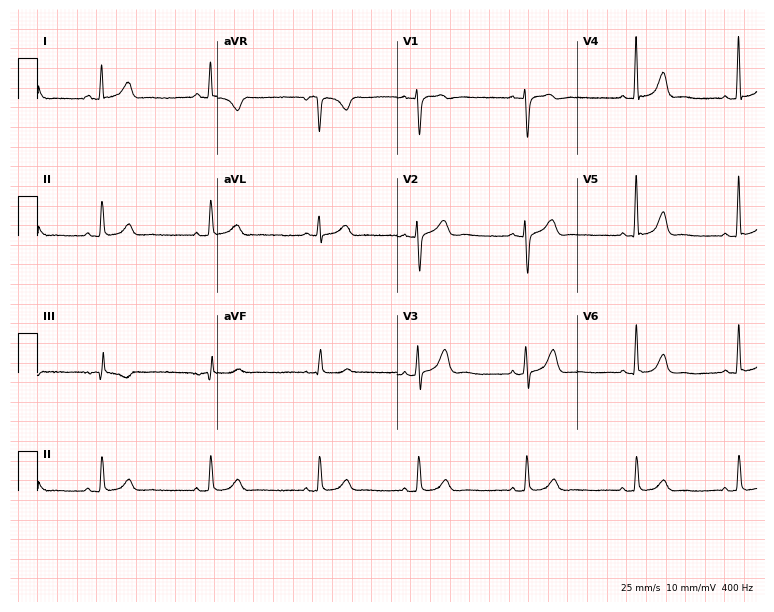
ECG — a 36-year-old female. Screened for six findings — first-degree AV block, right bundle branch block, left bundle branch block, sinus bradycardia, atrial fibrillation, sinus tachycardia — none is recorded. Only these six findings were labelled.